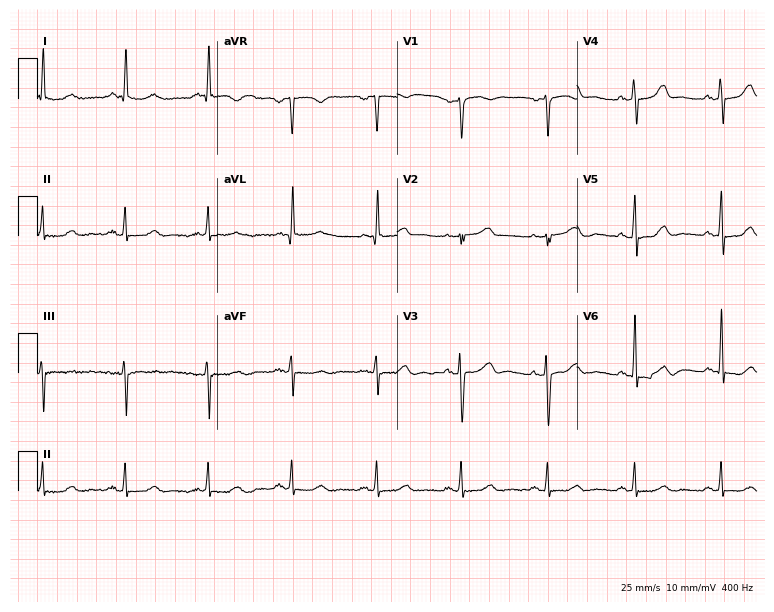
12-lead ECG from a woman, 57 years old (7.3-second recording at 400 Hz). No first-degree AV block, right bundle branch block, left bundle branch block, sinus bradycardia, atrial fibrillation or sinus tachycardia recorded for this tracing. Other findings, if any, are not listed.